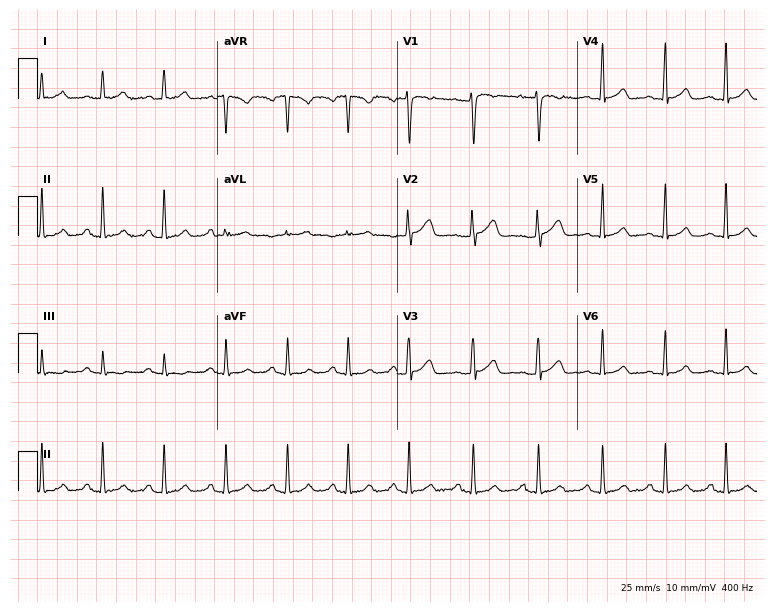
Resting 12-lead electrocardiogram. Patient: a 39-year-old female. None of these six findings is recorded: first-degree AV block, right bundle branch block (RBBB), left bundle branch block (LBBB), sinus bradycardia, atrial fibrillation (AF), sinus tachycardia.